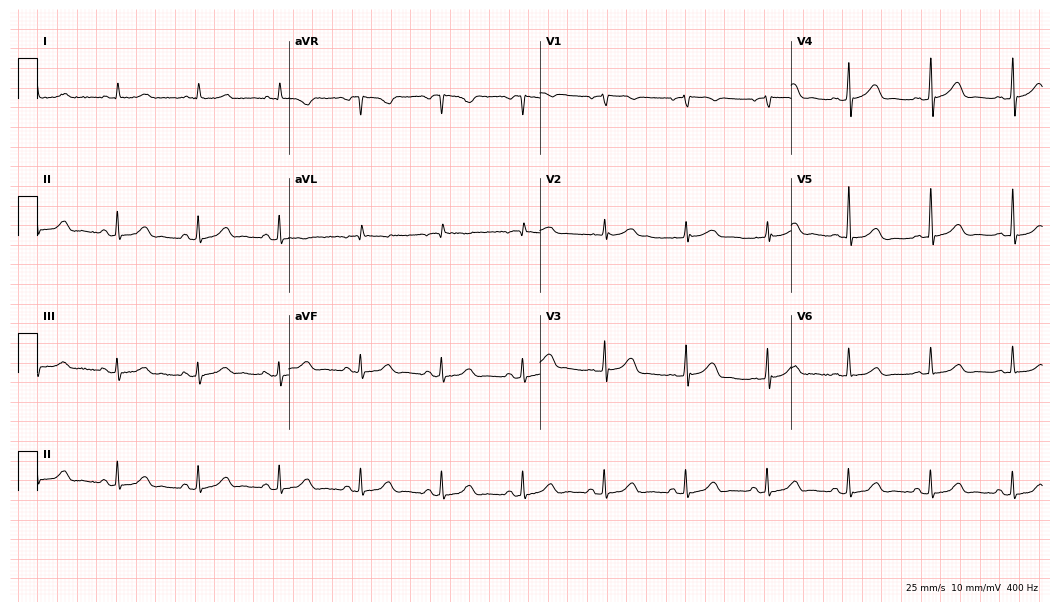
Standard 12-lead ECG recorded from a woman, 84 years old (10.2-second recording at 400 Hz). Read as a normal ECG.